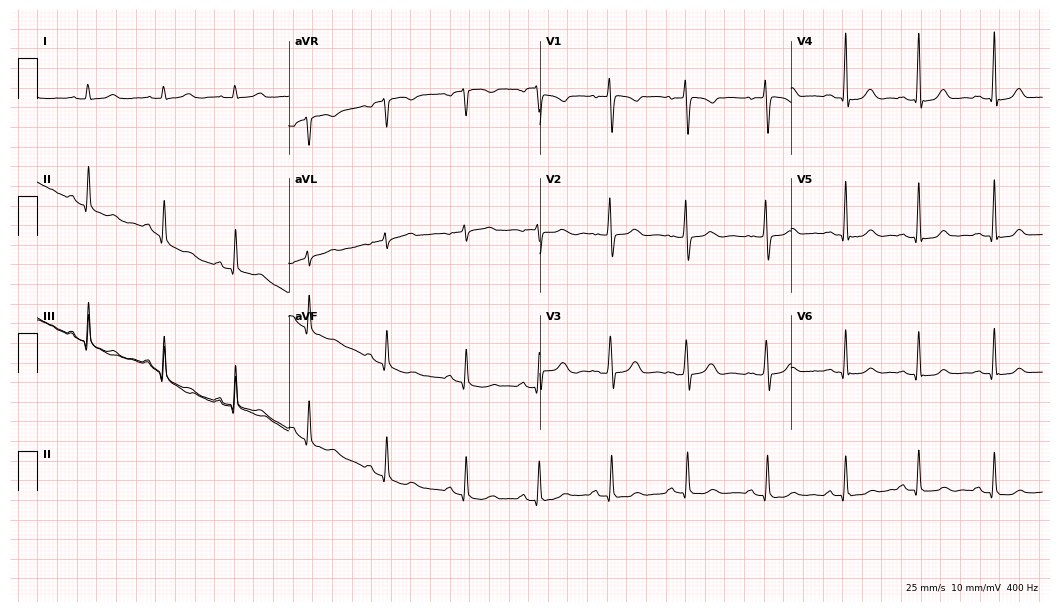
Standard 12-lead ECG recorded from a woman, 29 years old (10.2-second recording at 400 Hz). Read as a normal ECG.